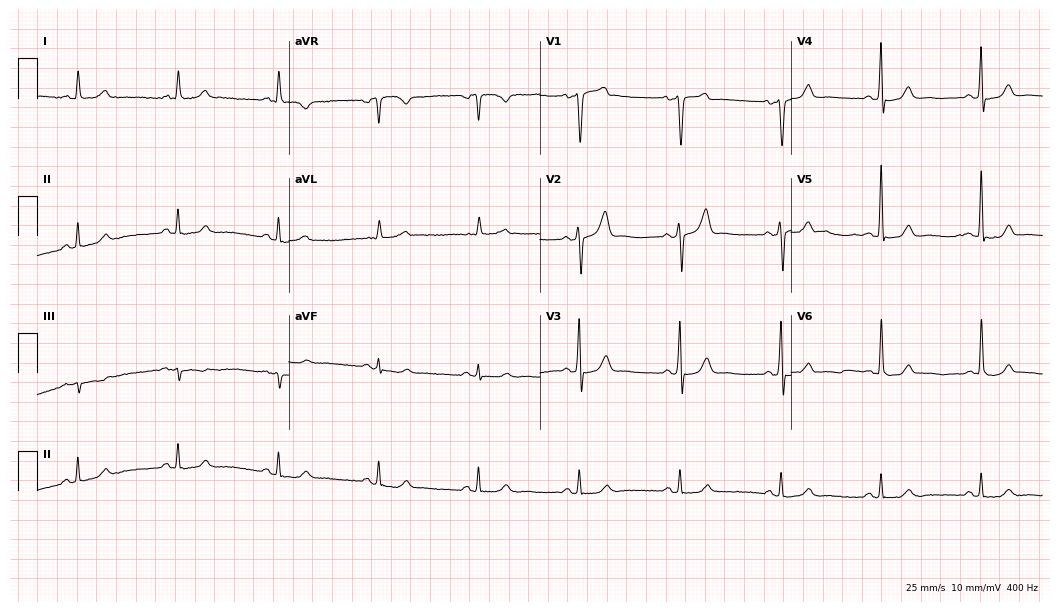
12-lead ECG (10.2-second recording at 400 Hz) from a 68-year-old male. Labelled as a normal ECG.